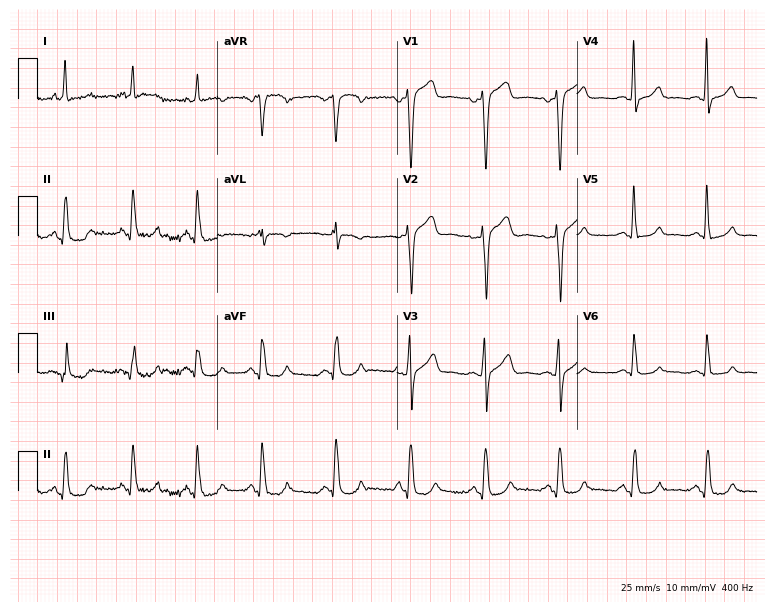
12-lead ECG from a man, 55 years old. Screened for six findings — first-degree AV block, right bundle branch block, left bundle branch block, sinus bradycardia, atrial fibrillation, sinus tachycardia — none is recorded. Findings outside these six are not listed.